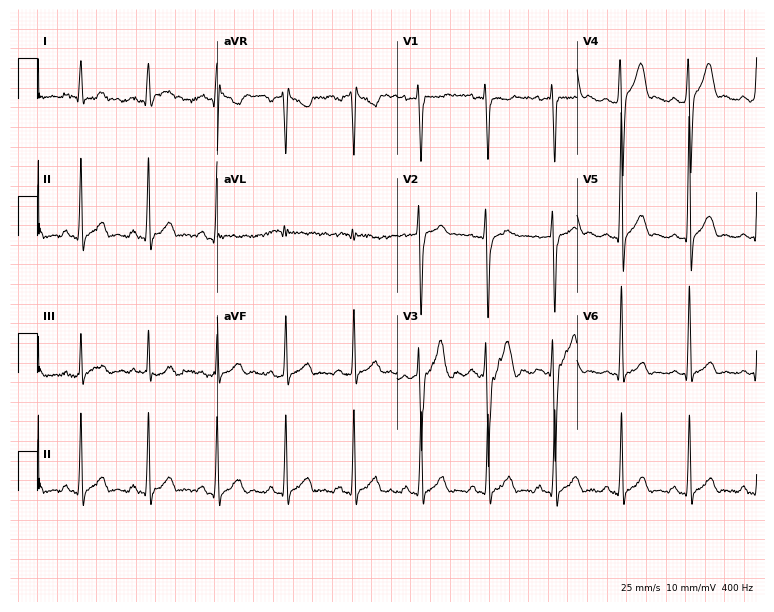
12-lead ECG (7.3-second recording at 400 Hz) from a 25-year-old male. Labelled as a normal ECG.